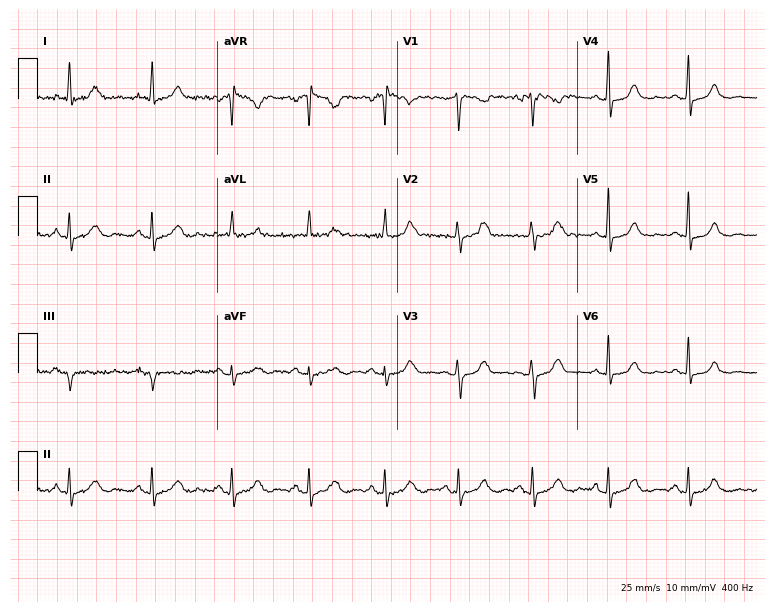
Resting 12-lead electrocardiogram (7.3-second recording at 400 Hz). Patient: a female, 47 years old. Read as a normal ECG.